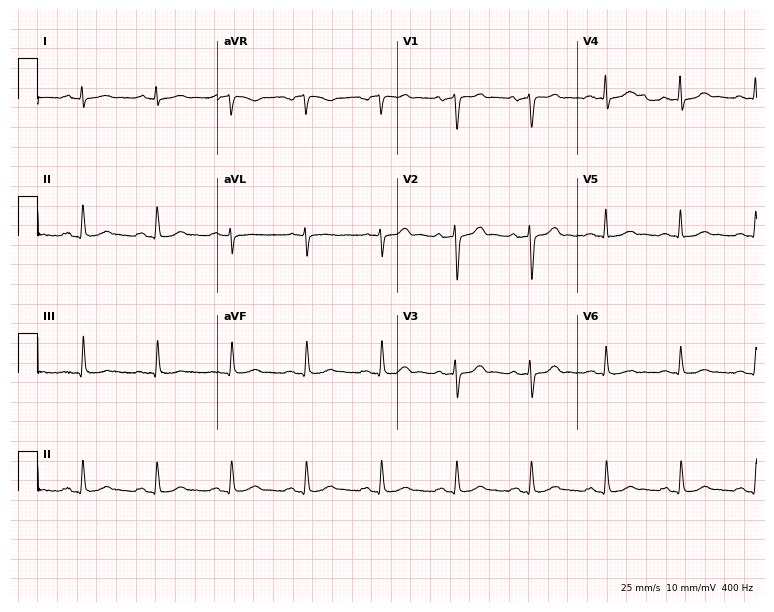
12-lead ECG from a 65-year-old male. Recorded interpretation: within normal limits.